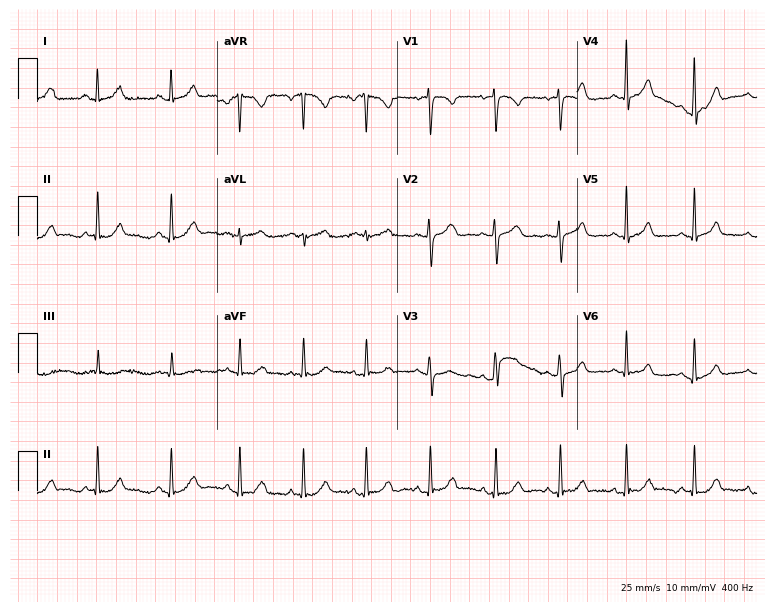
12-lead ECG from a woman, 20 years old. Recorded interpretation: within normal limits.